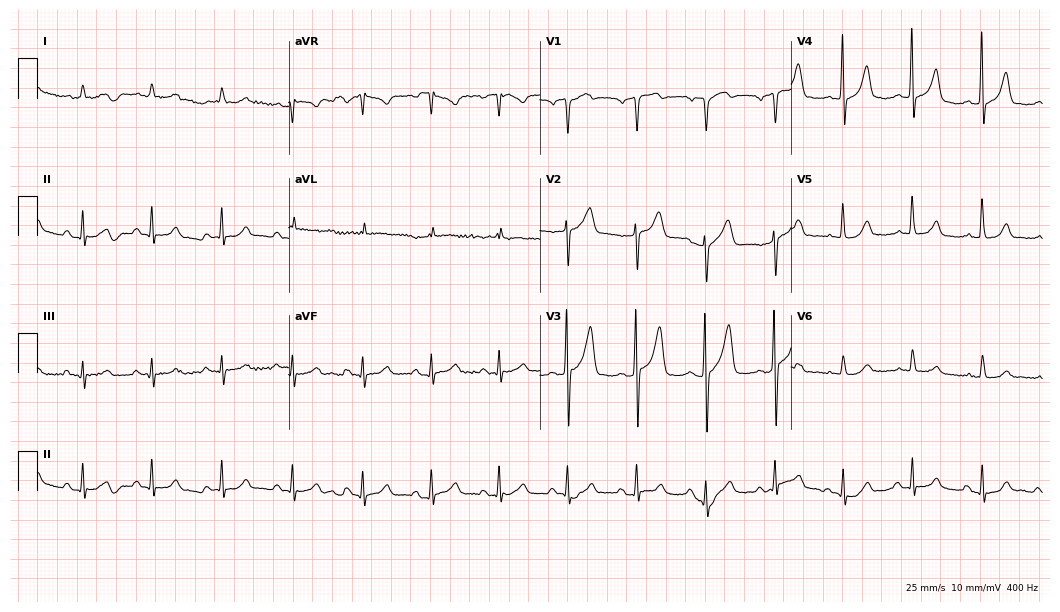
Electrocardiogram (10.2-second recording at 400 Hz), a 79-year-old male. Of the six screened findings (first-degree AV block, right bundle branch block (RBBB), left bundle branch block (LBBB), sinus bradycardia, atrial fibrillation (AF), sinus tachycardia), none is recorded.